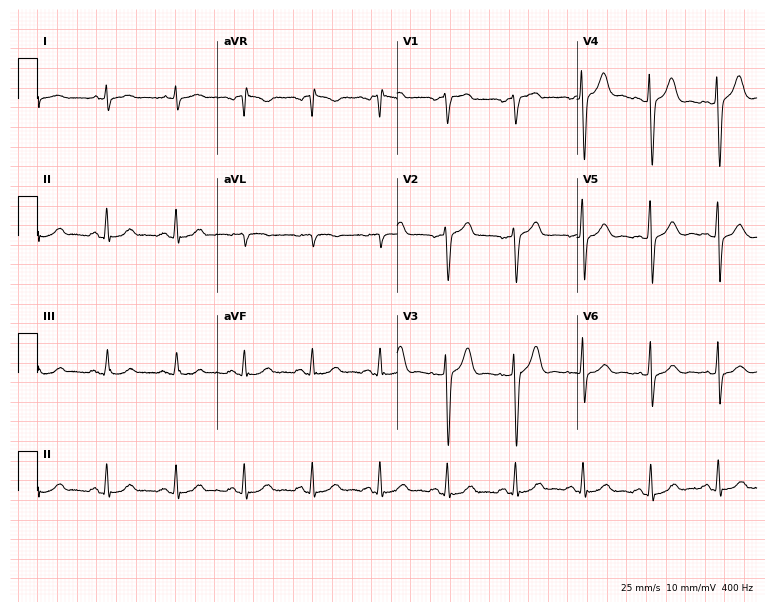
12-lead ECG from a 57-year-old male. Labelled as a normal ECG.